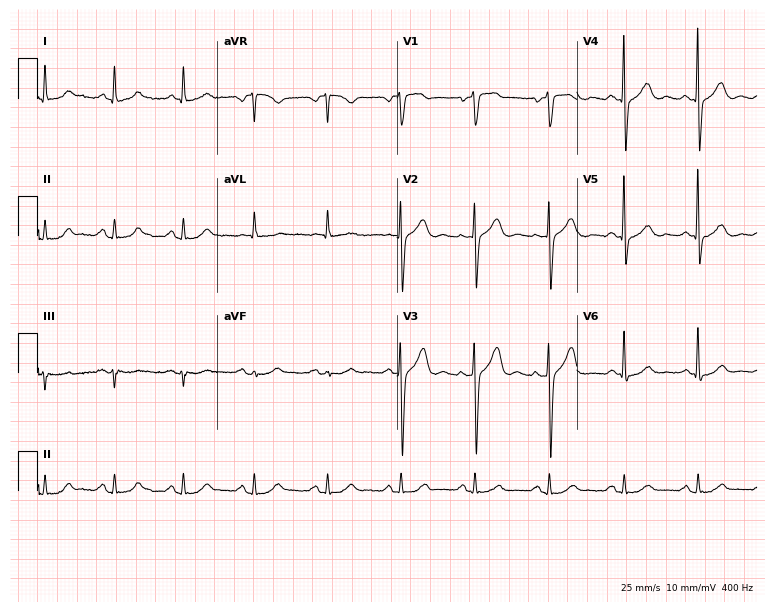
Resting 12-lead electrocardiogram (7.3-second recording at 400 Hz). Patient: a male, 65 years old. Read as a normal ECG.